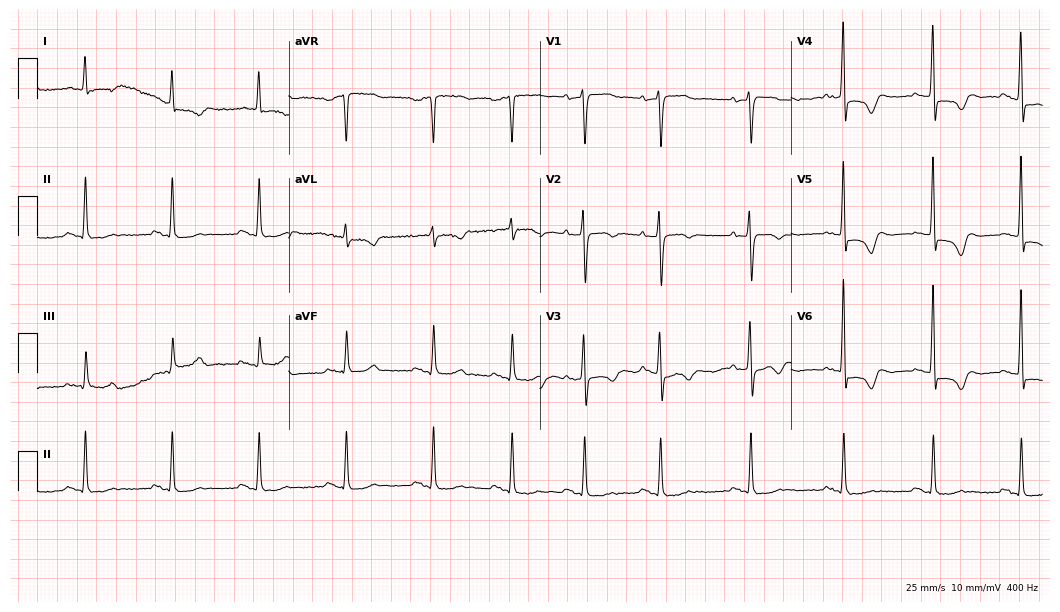
ECG (10.2-second recording at 400 Hz) — an 81-year-old male patient. Screened for six findings — first-degree AV block, right bundle branch block (RBBB), left bundle branch block (LBBB), sinus bradycardia, atrial fibrillation (AF), sinus tachycardia — none is recorded.